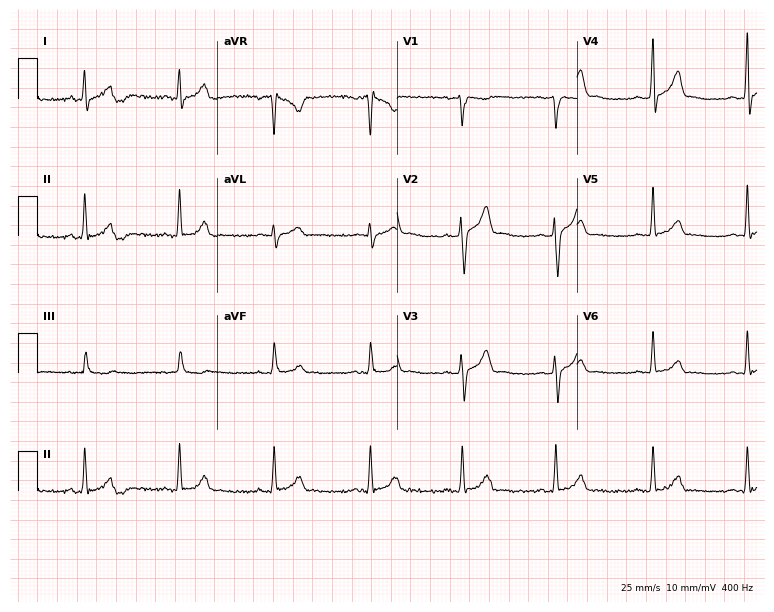
Resting 12-lead electrocardiogram. Patient: a male, 29 years old. Read as a normal ECG.